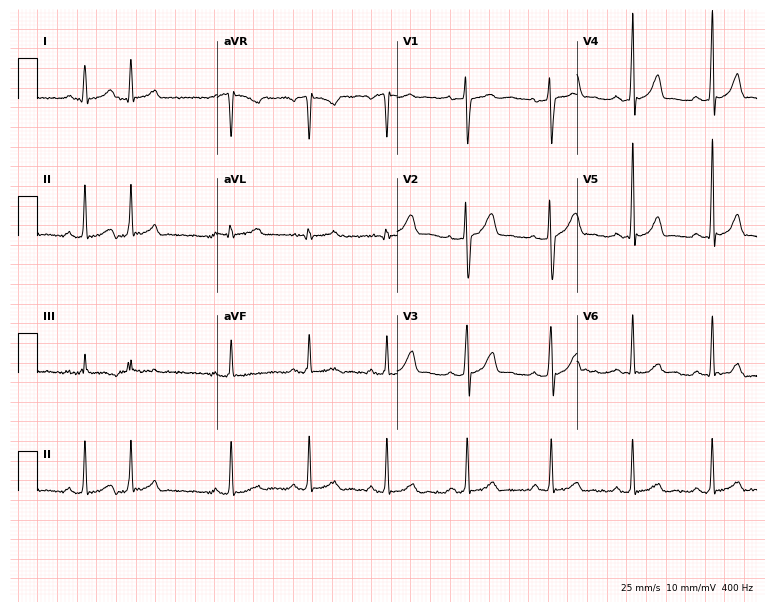
ECG (7.3-second recording at 400 Hz) — a 27-year-old man. Screened for six findings — first-degree AV block, right bundle branch block (RBBB), left bundle branch block (LBBB), sinus bradycardia, atrial fibrillation (AF), sinus tachycardia — none is recorded.